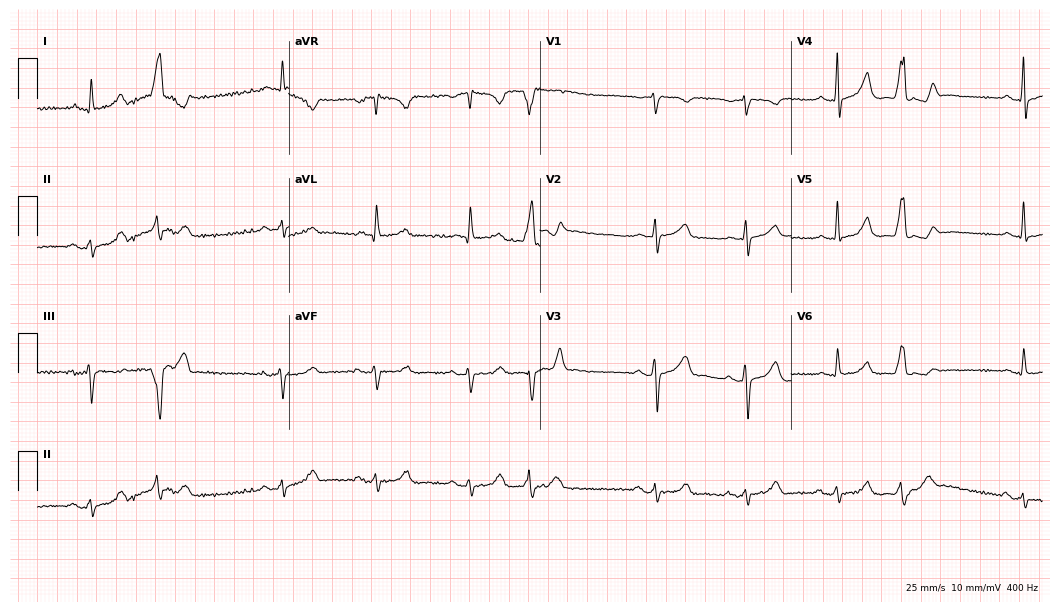
12-lead ECG from a 75-year-old woman. No first-degree AV block, right bundle branch block (RBBB), left bundle branch block (LBBB), sinus bradycardia, atrial fibrillation (AF) or sinus tachycardia recorded for this tracing. Only these six findings were labelled.